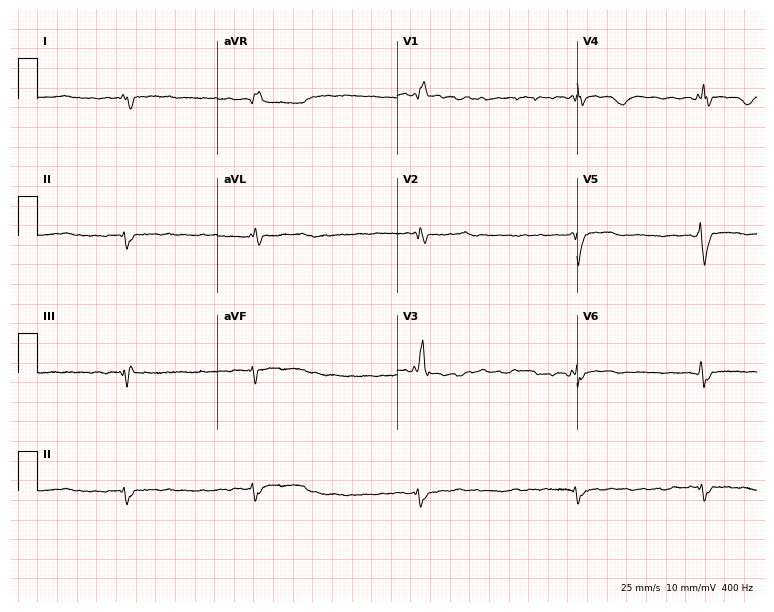
12-lead ECG from a 46-year-old male patient (7.3-second recording at 400 Hz). Shows right bundle branch block (RBBB), atrial fibrillation (AF).